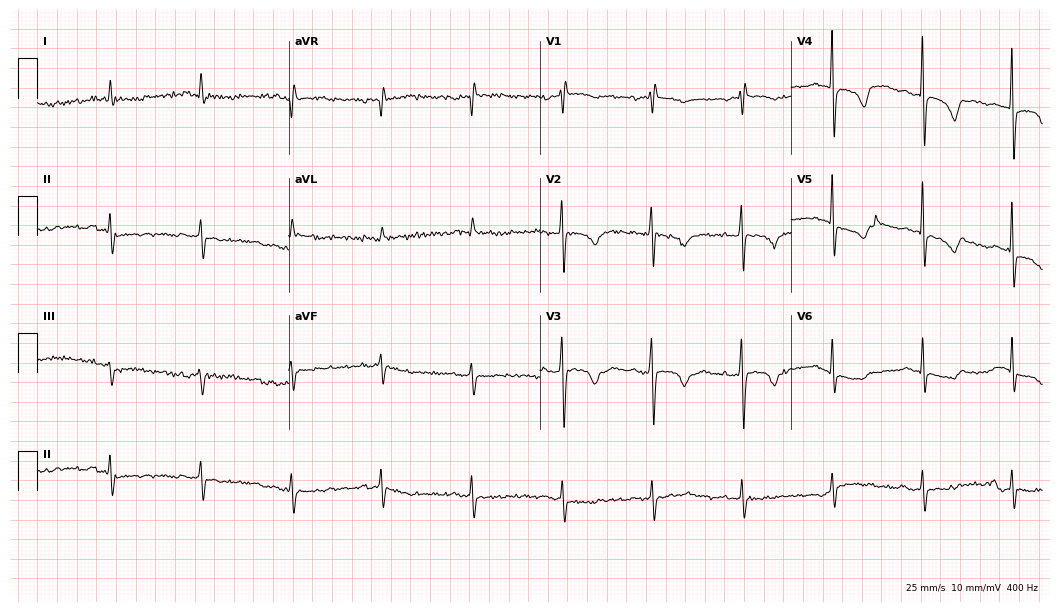
ECG (10.2-second recording at 400 Hz) — a male patient, 79 years old. Screened for six findings — first-degree AV block, right bundle branch block (RBBB), left bundle branch block (LBBB), sinus bradycardia, atrial fibrillation (AF), sinus tachycardia — none is recorded. Findings outside these six are not listed.